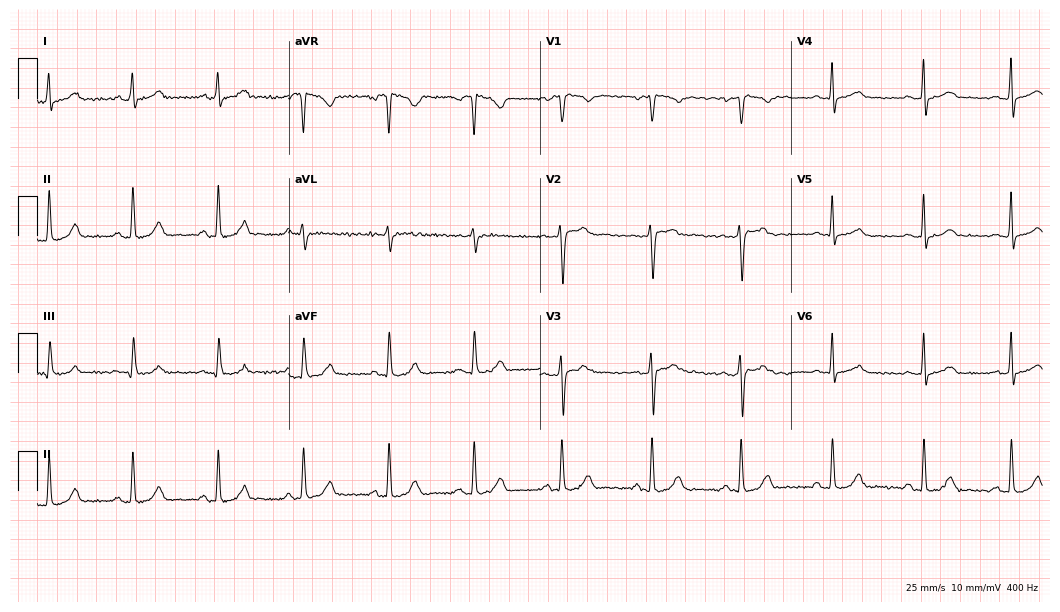
ECG — a woman, 26 years old. Screened for six findings — first-degree AV block, right bundle branch block, left bundle branch block, sinus bradycardia, atrial fibrillation, sinus tachycardia — none is recorded. Findings outside these six are not listed.